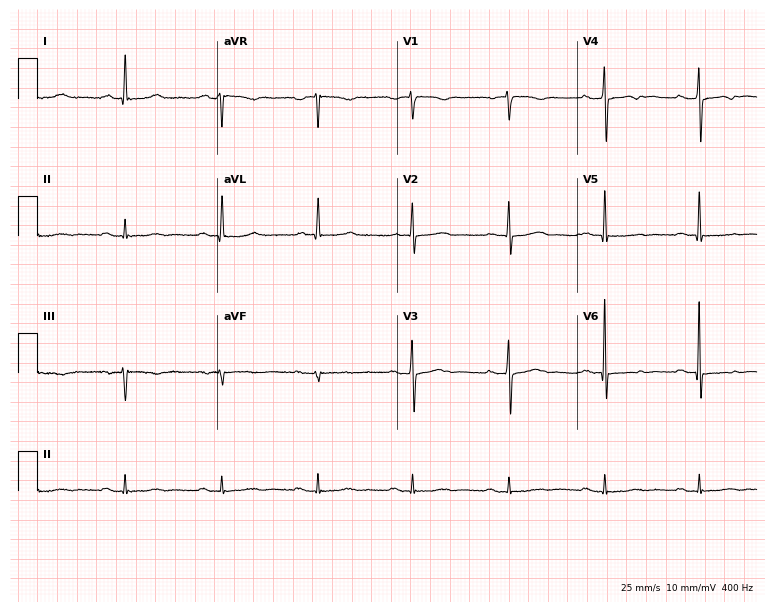
12-lead ECG (7.3-second recording at 400 Hz) from a 77-year-old woman. Screened for six findings — first-degree AV block, right bundle branch block, left bundle branch block, sinus bradycardia, atrial fibrillation, sinus tachycardia — none is recorded. Only these six findings were labelled.